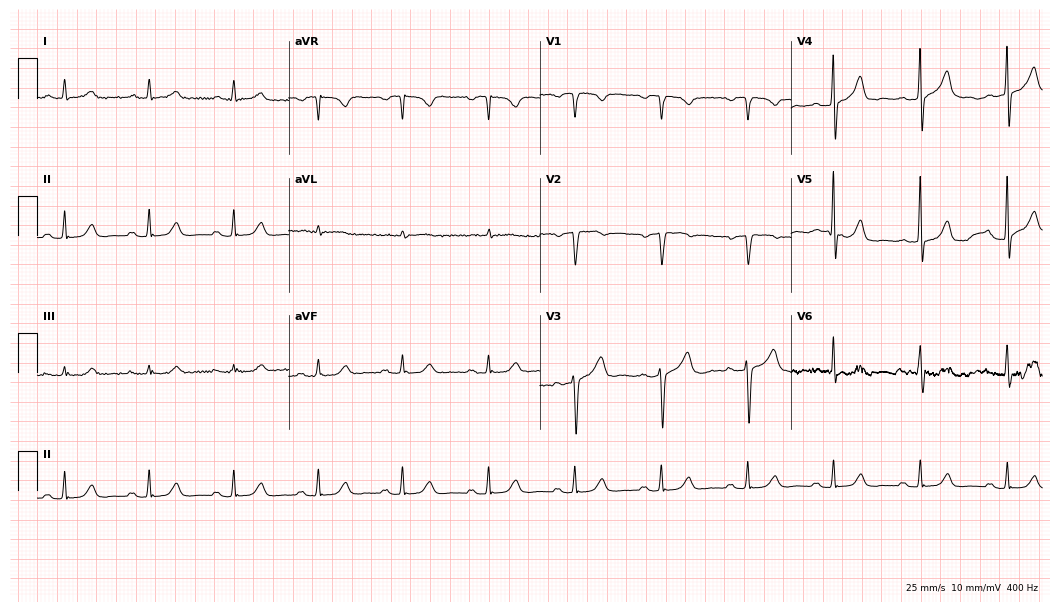
ECG (10.2-second recording at 400 Hz) — a male, 71 years old. Labelled as a normal ECG.